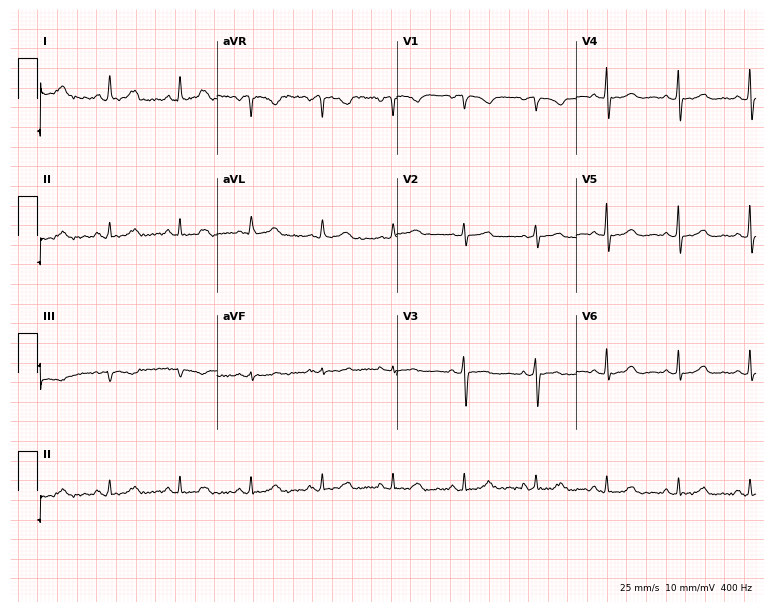
Resting 12-lead electrocardiogram (7.3-second recording at 400 Hz). Patient: a 71-year-old woman. None of these six findings is recorded: first-degree AV block, right bundle branch block, left bundle branch block, sinus bradycardia, atrial fibrillation, sinus tachycardia.